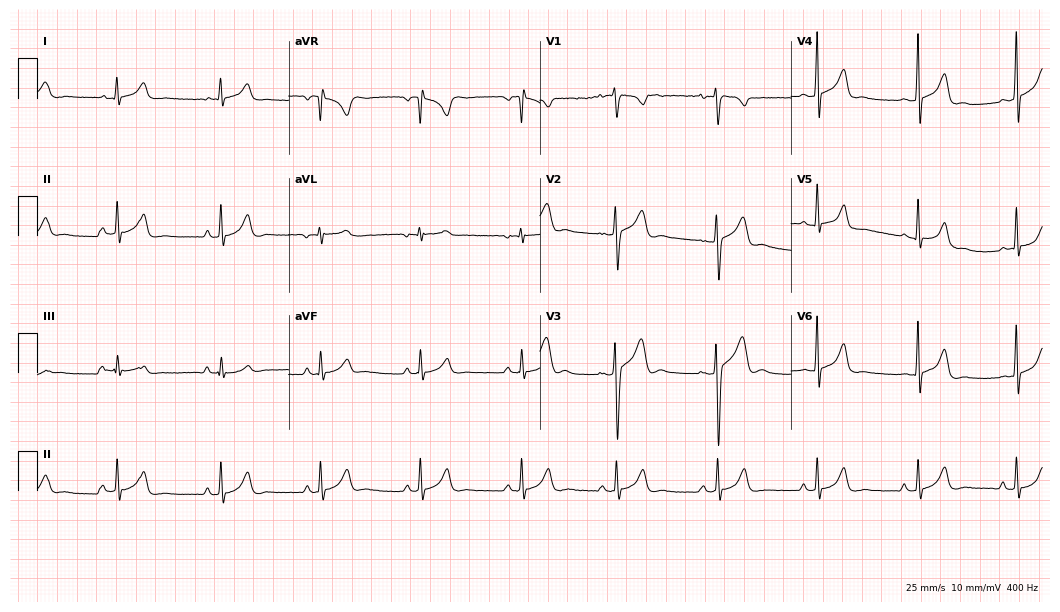
Resting 12-lead electrocardiogram (10.2-second recording at 400 Hz). Patient: a male, 21 years old. None of these six findings is recorded: first-degree AV block, right bundle branch block (RBBB), left bundle branch block (LBBB), sinus bradycardia, atrial fibrillation (AF), sinus tachycardia. Findings outside these six are not listed.